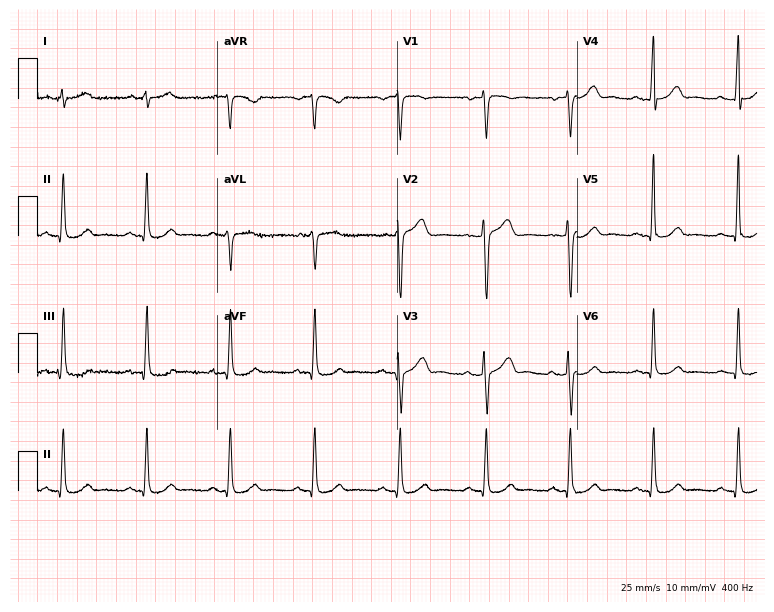
ECG — a 50-year-old man. Labelled as a normal ECG.